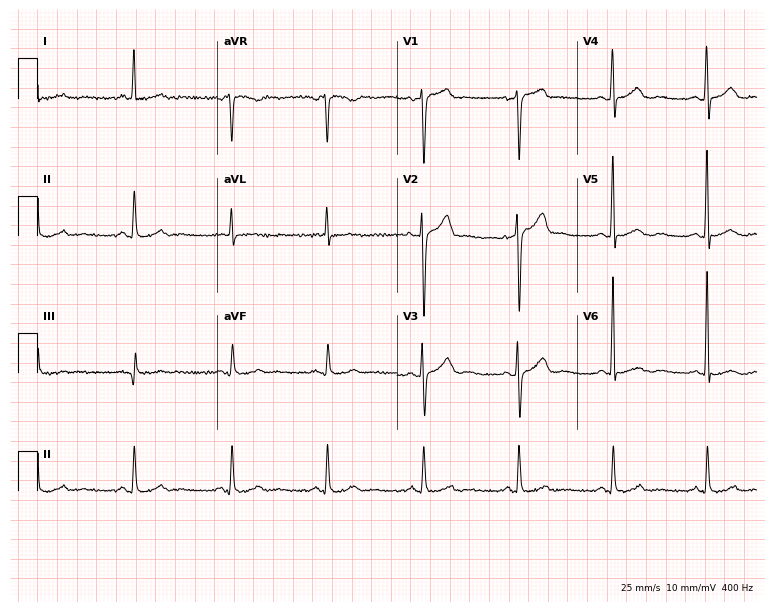
12-lead ECG from a male, 50 years old. Recorded interpretation: within normal limits.